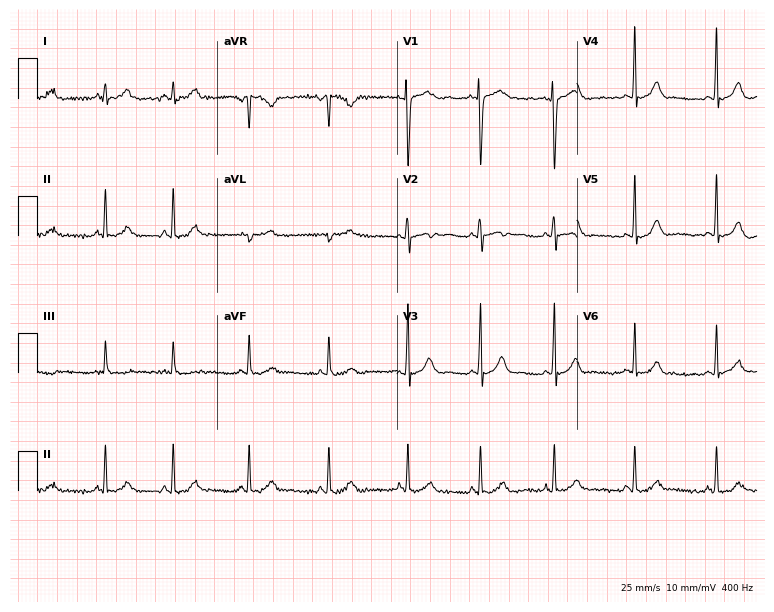
Resting 12-lead electrocardiogram. Patient: a woman, 23 years old. None of these six findings is recorded: first-degree AV block, right bundle branch block, left bundle branch block, sinus bradycardia, atrial fibrillation, sinus tachycardia.